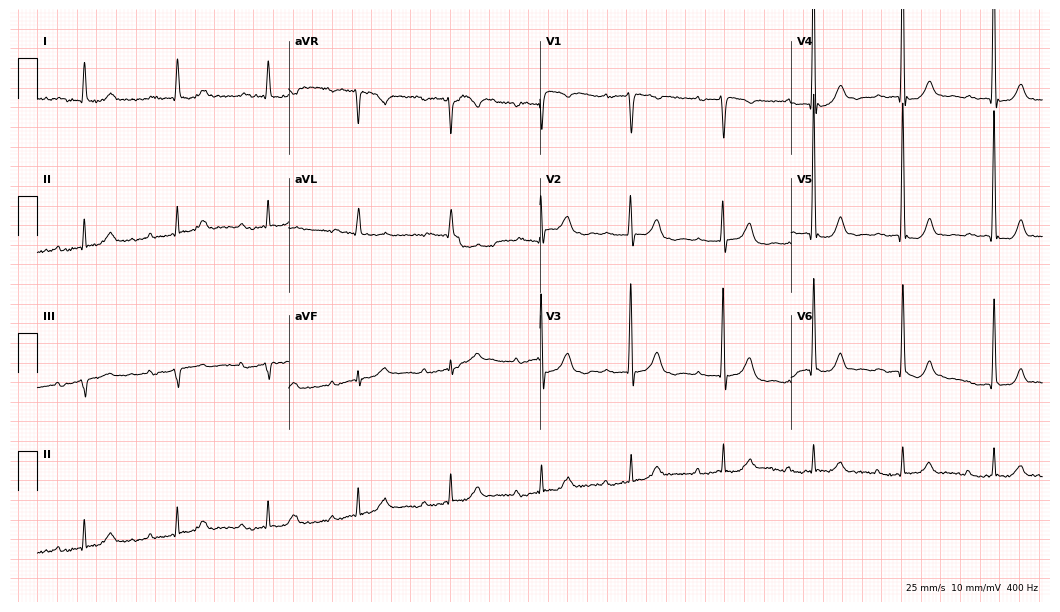
Resting 12-lead electrocardiogram. Patient: a 76-year-old female. The tracing shows first-degree AV block.